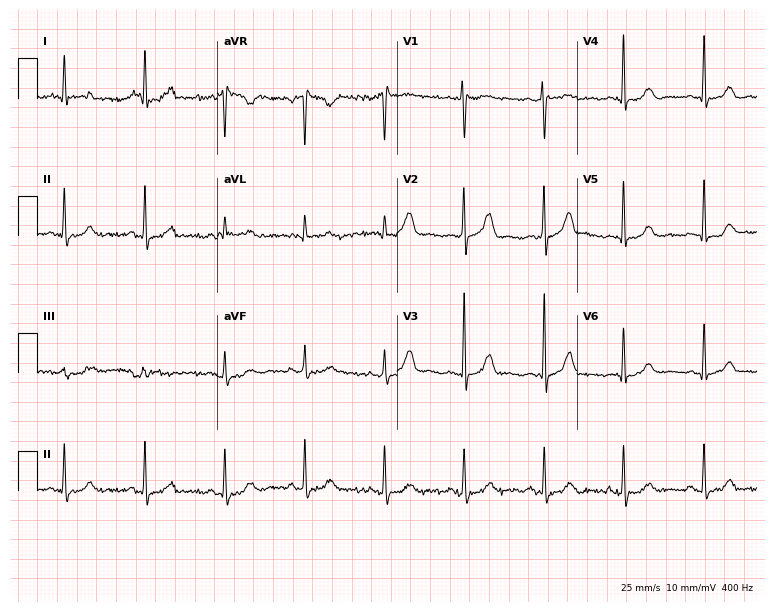
Standard 12-lead ECG recorded from a 63-year-old female patient (7.3-second recording at 400 Hz). Read as a normal ECG.